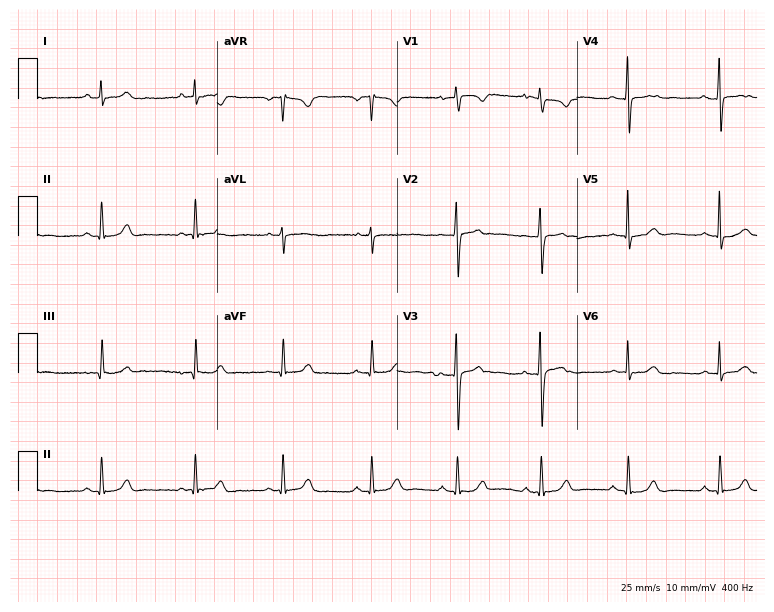
12-lead ECG from a female patient, 26 years old. Labelled as a normal ECG.